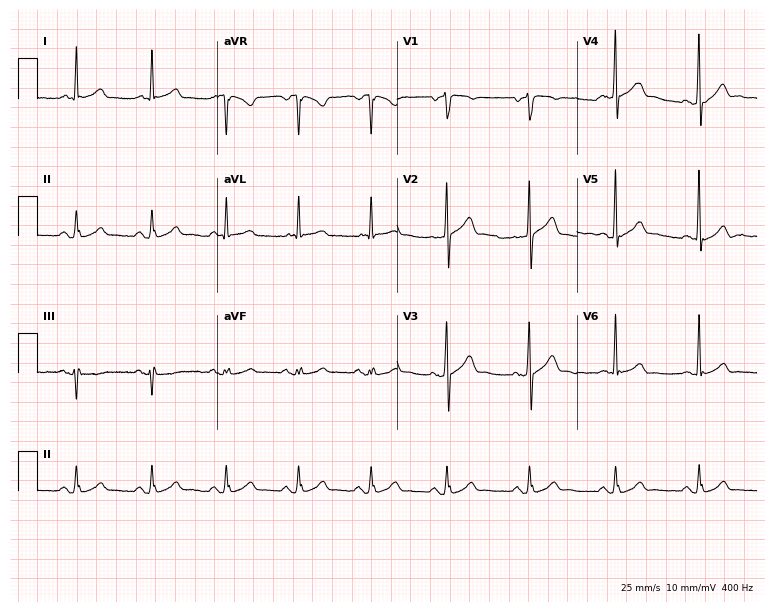
ECG (7.3-second recording at 400 Hz) — a 67-year-old male patient. Labelled as a normal ECG.